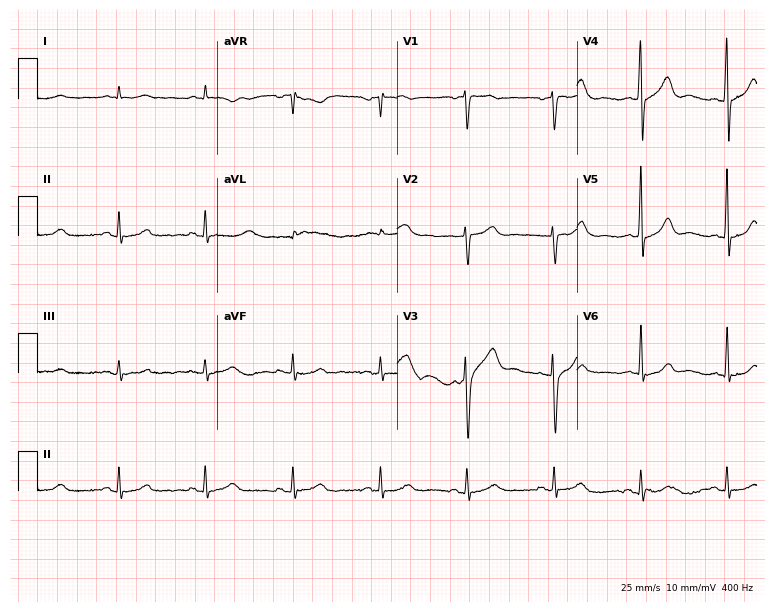
Electrocardiogram, a 55-year-old man. Of the six screened findings (first-degree AV block, right bundle branch block (RBBB), left bundle branch block (LBBB), sinus bradycardia, atrial fibrillation (AF), sinus tachycardia), none is recorded.